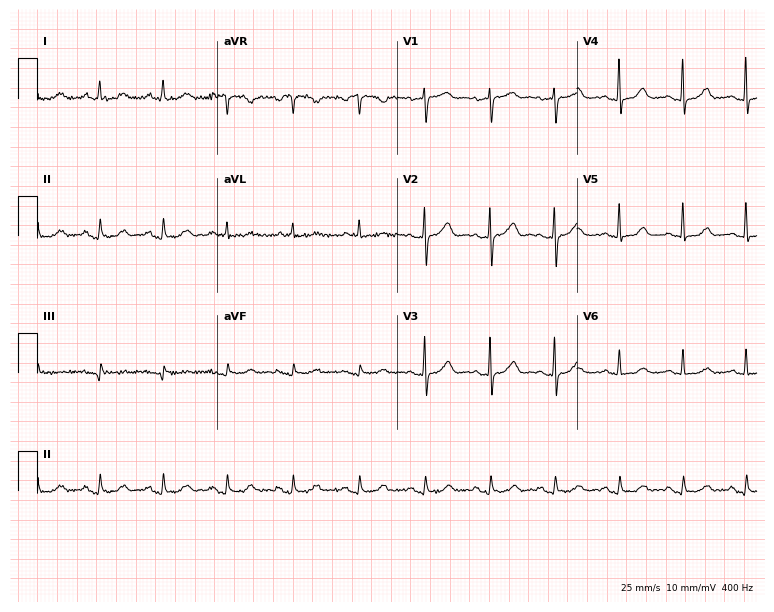
12-lead ECG (7.3-second recording at 400 Hz) from a 66-year-old woman. Labelled as a normal ECG.